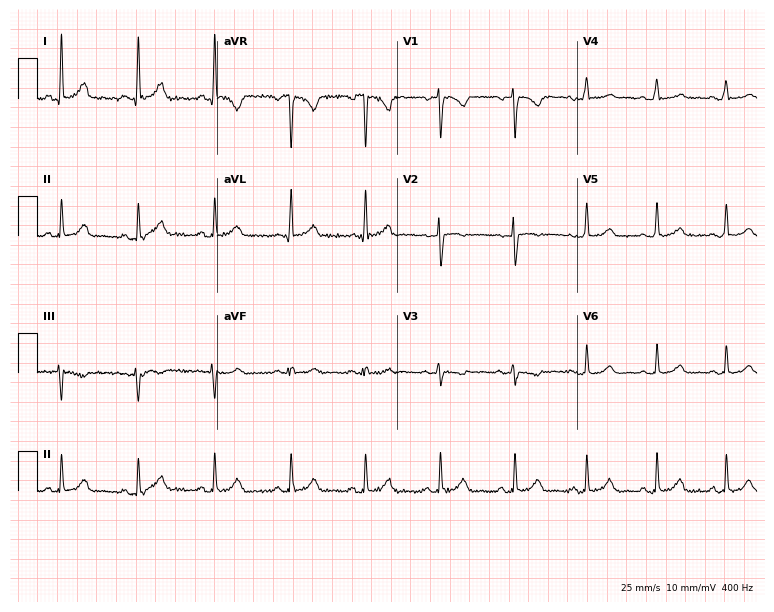
12-lead ECG (7.3-second recording at 400 Hz) from a 27-year-old female patient. Labelled as a normal ECG.